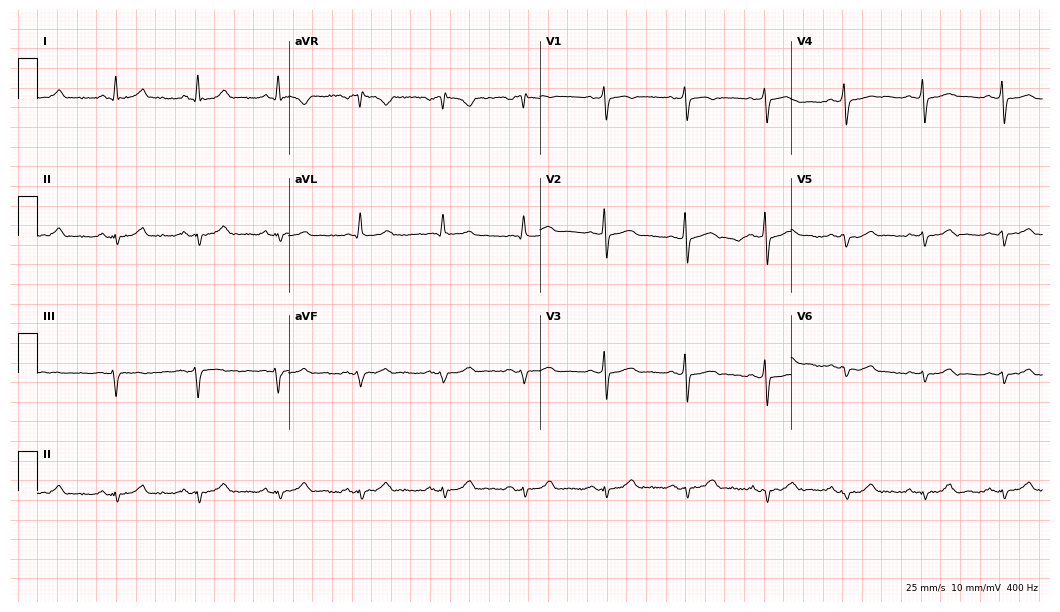
Standard 12-lead ECG recorded from a 53-year-old female (10.2-second recording at 400 Hz). None of these six findings is recorded: first-degree AV block, right bundle branch block, left bundle branch block, sinus bradycardia, atrial fibrillation, sinus tachycardia. Findings outside these six are not listed.